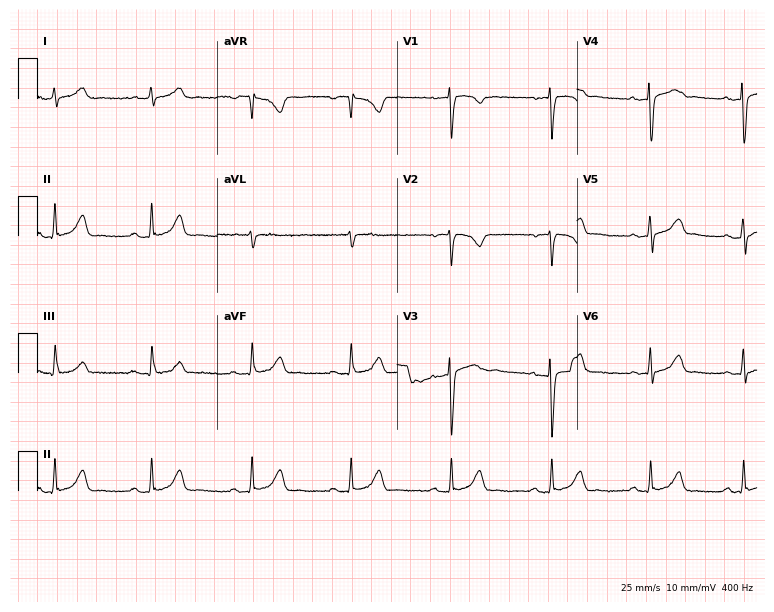
12-lead ECG from a 40-year-old woman. Labelled as a normal ECG.